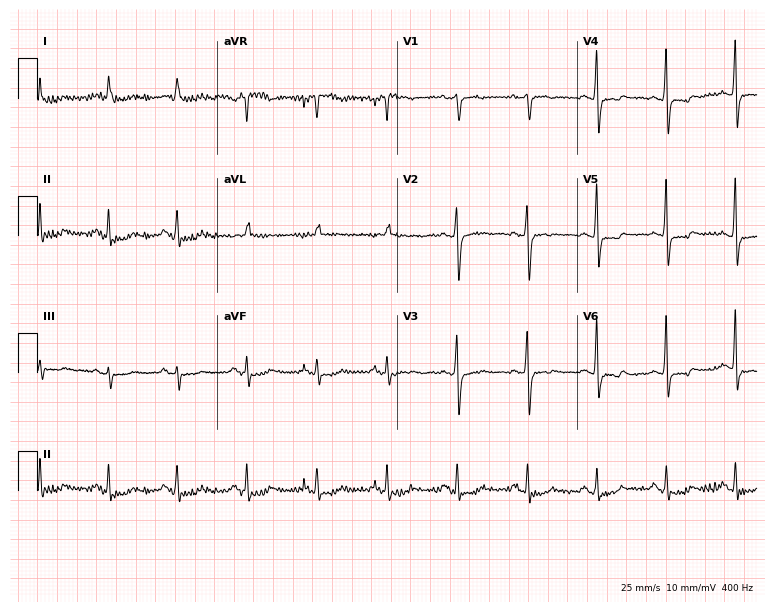
Standard 12-lead ECG recorded from a 76-year-old female patient (7.3-second recording at 400 Hz). None of these six findings is recorded: first-degree AV block, right bundle branch block (RBBB), left bundle branch block (LBBB), sinus bradycardia, atrial fibrillation (AF), sinus tachycardia. Other findings, if any, are not listed.